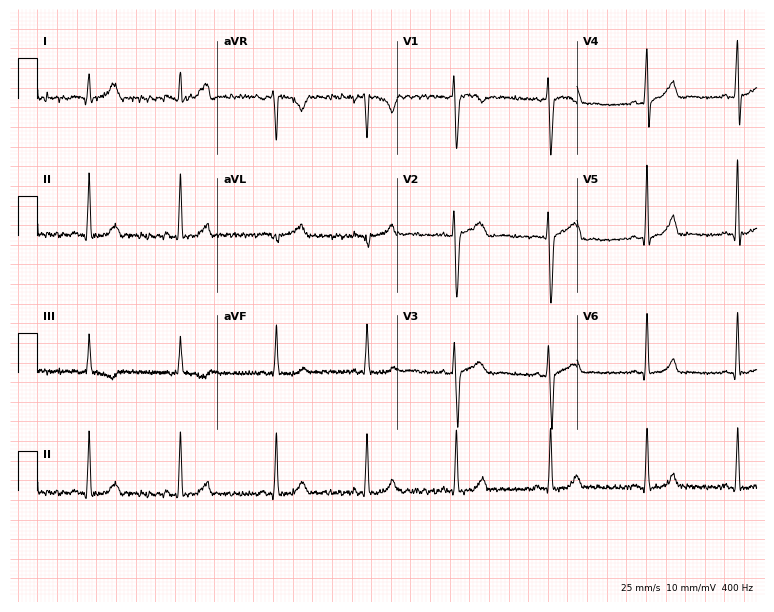
ECG — a female patient, 28 years old. Labelled as a normal ECG.